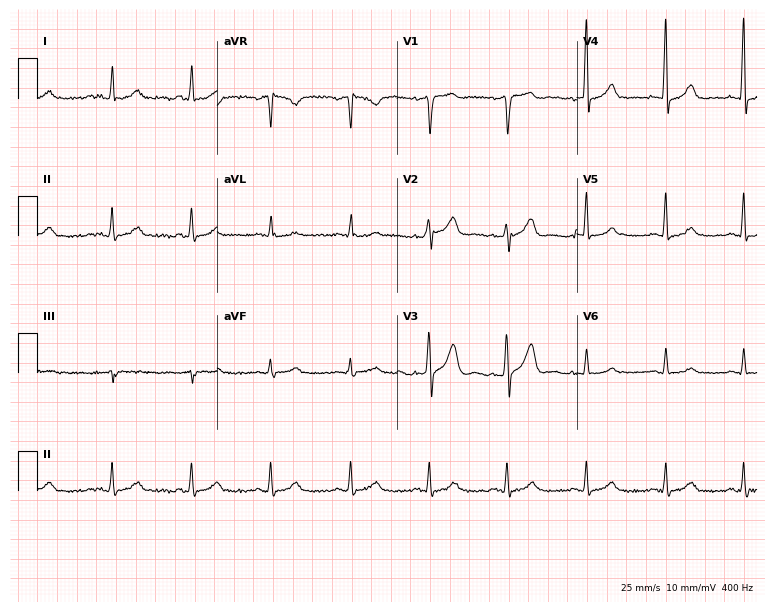
12-lead ECG from a 52-year-old male. Labelled as a normal ECG.